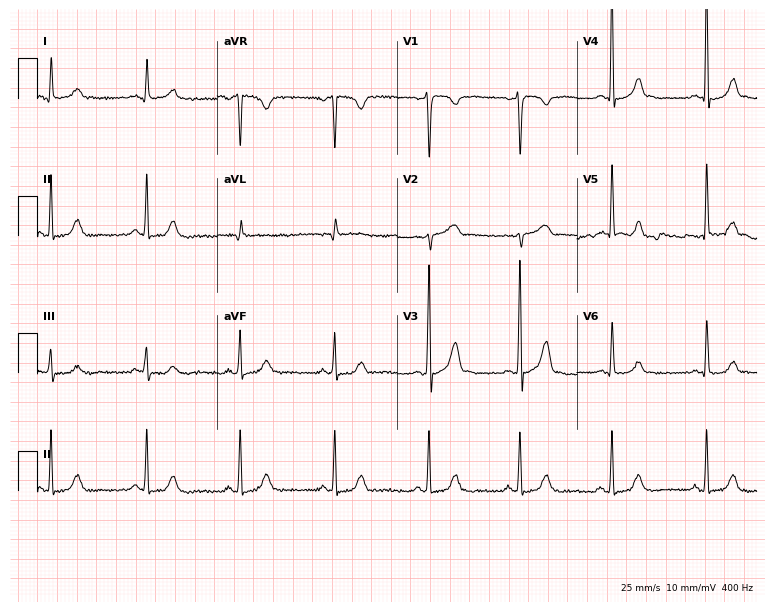
12-lead ECG (7.3-second recording at 400 Hz) from a woman, 38 years old. Screened for six findings — first-degree AV block, right bundle branch block (RBBB), left bundle branch block (LBBB), sinus bradycardia, atrial fibrillation (AF), sinus tachycardia — none is recorded. Other findings, if any, are not listed.